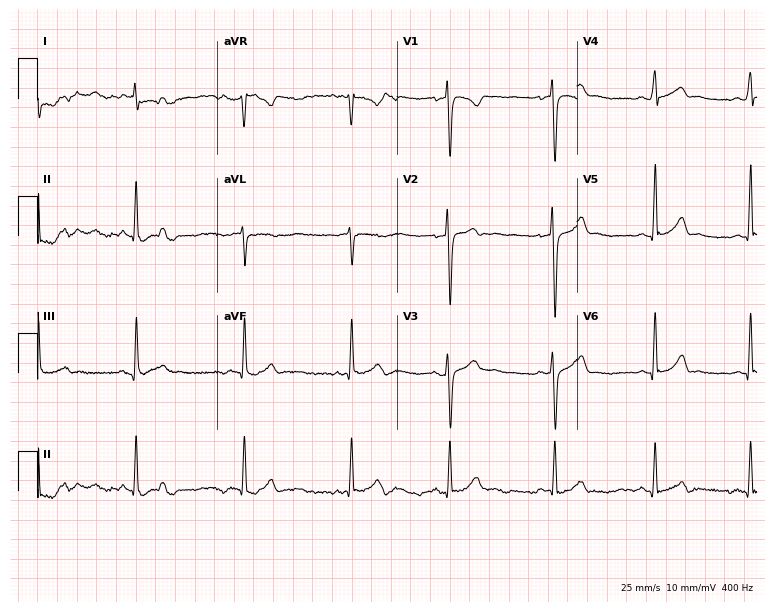
Resting 12-lead electrocardiogram. Patient: a 27-year-old male. None of these six findings is recorded: first-degree AV block, right bundle branch block (RBBB), left bundle branch block (LBBB), sinus bradycardia, atrial fibrillation (AF), sinus tachycardia. Only these six findings were labelled.